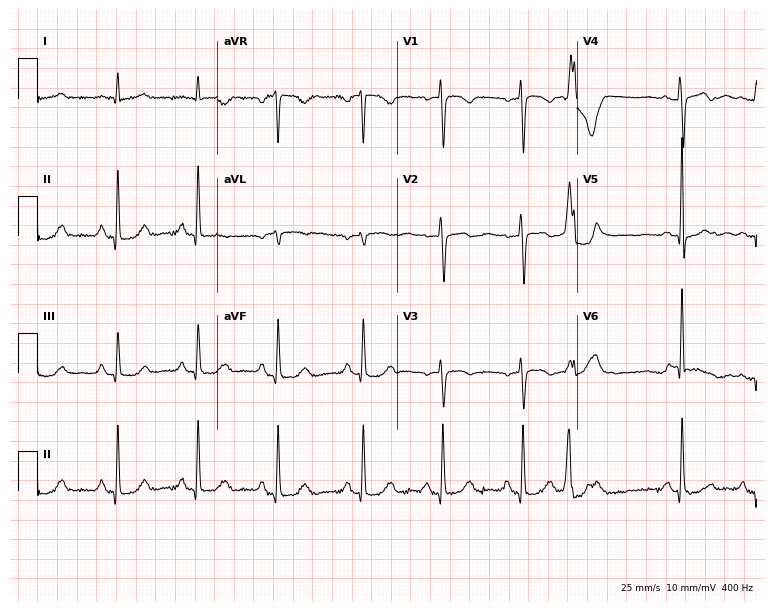
Standard 12-lead ECG recorded from a female patient, 67 years old. None of these six findings is recorded: first-degree AV block, right bundle branch block, left bundle branch block, sinus bradycardia, atrial fibrillation, sinus tachycardia.